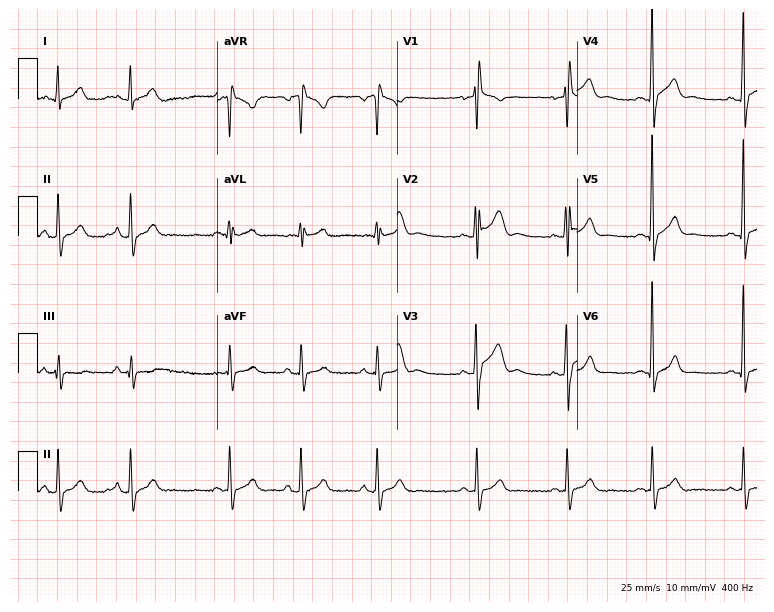
Resting 12-lead electrocardiogram (7.3-second recording at 400 Hz). Patient: a man, 20 years old. None of these six findings is recorded: first-degree AV block, right bundle branch block (RBBB), left bundle branch block (LBBB), sinus bradycardia, atrial fibrillation (AF), sinus tachycardia.